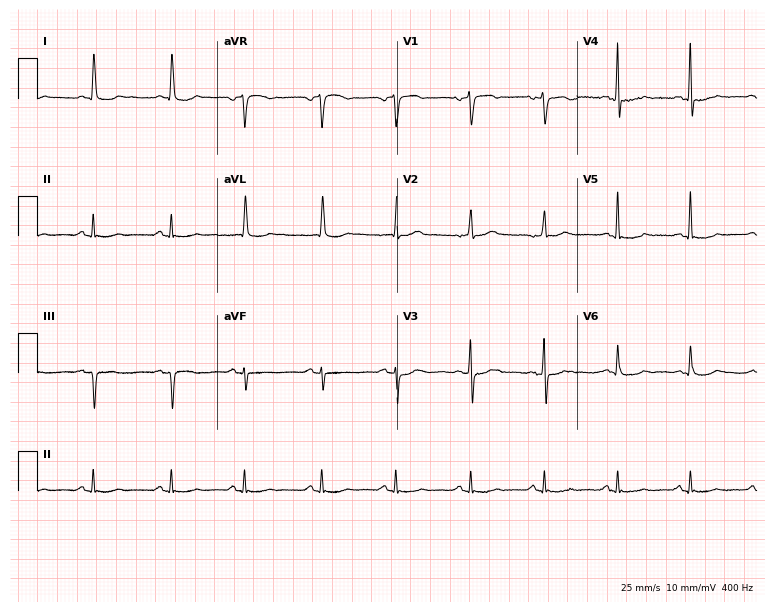
ECG (7.3-second recording at 400 Hz) — a female patient, 80 years old. Labelled as a normal ECG.